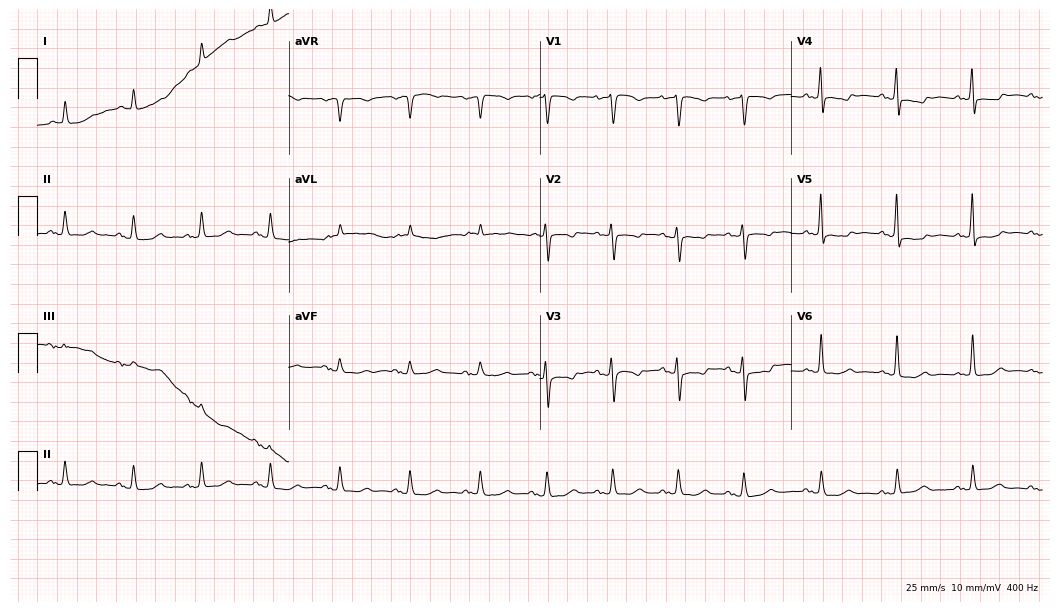
12-lead ECG from a female patient, 83 years old. No first-degree AV block, right bundle branch block (RBBB), left bundle branch block (LBBB), sinus bradycardia, atrial fibrillation (AF) or sinus tachycardia recorded for this tracing.